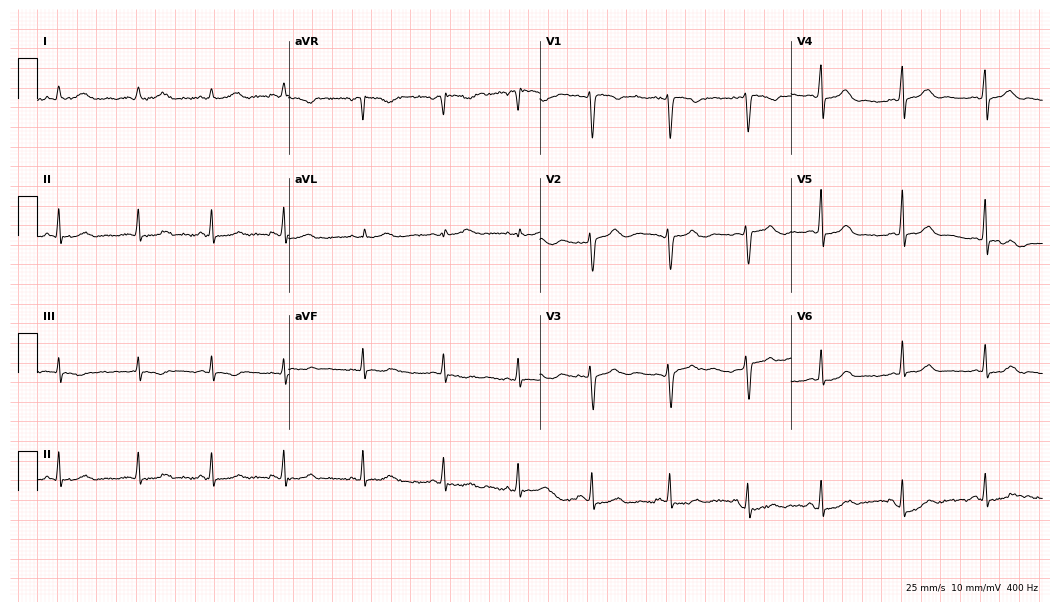
Electrocardiogram (10.2-second recording at 400 Hz), a woman, 36 years old. Of the six screened findings (first-degree AV block, right bundle branch block, left bundle branch block, sinus bradycardia, atrial fibrillation, sinus tachycardia), none is recorded.